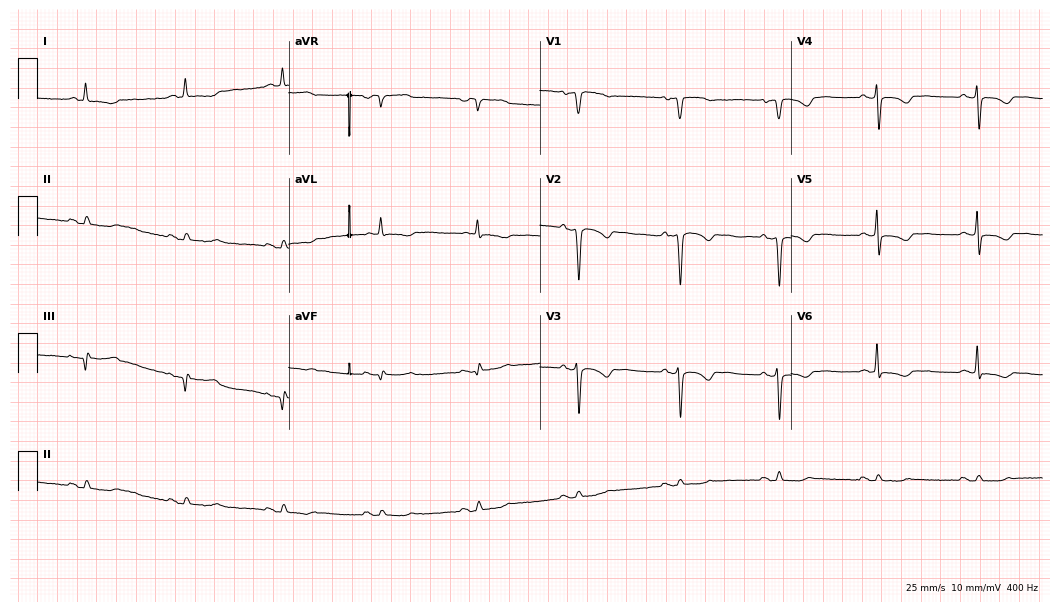
Standard 12-lead ECG recorded from a 62-year-old female (10.2-second recording at 400 Hz). None of these six findings is recorded: first-degree AV block, right bundle branch block, left bundle branch block, sinus bradycardia, atrial fibrillation, sinus tachycardia.